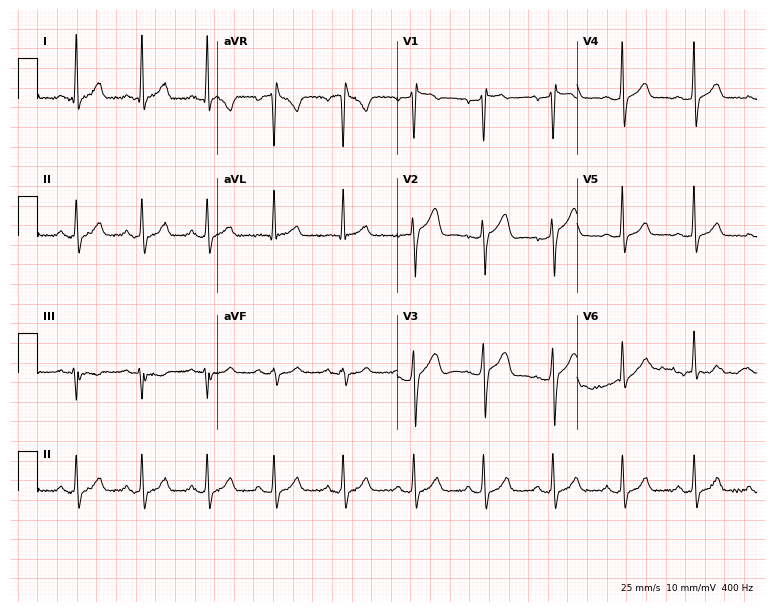
ECG — a 38-year-old male. Screened for six findings — first-degree AV block, right bundle branch block, left bundle branch block, sinus bradycardia, atrial fibrillation, sinus tachycardia — none is recorded.